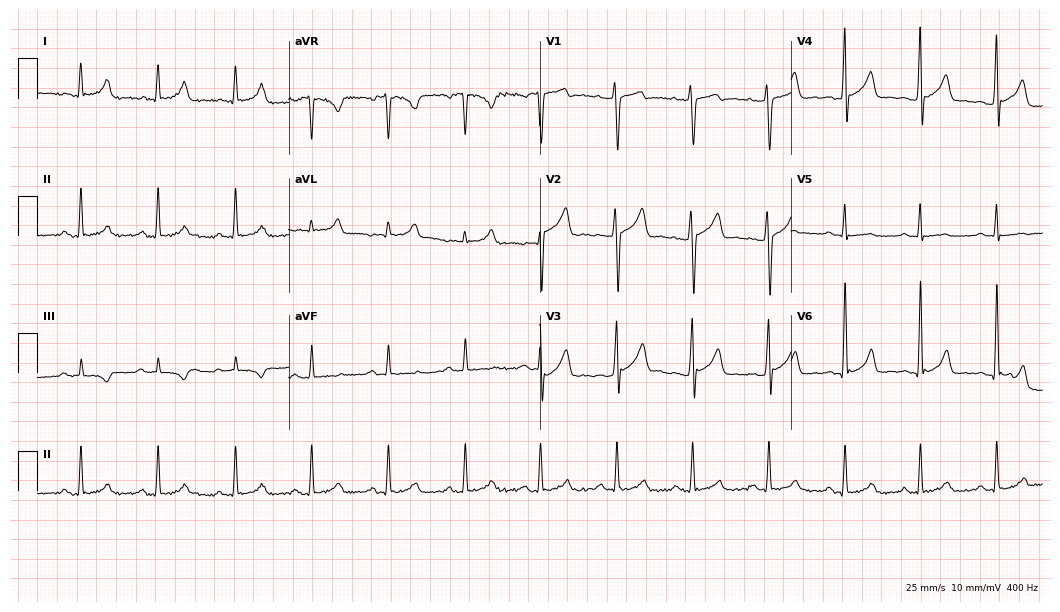
Standard 12-lead ECG recorded from a 35-year-old man (10.2-second recording at 400 Hz). Read as a normal ECG.